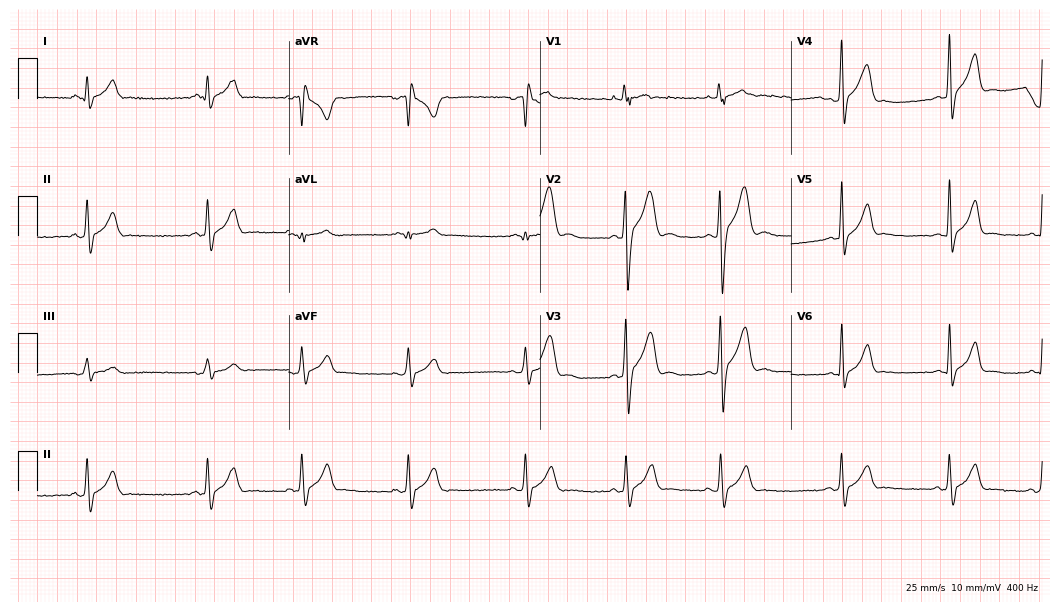
12-lead ECG from a man, 17 years old (10.2-second recording at 400 Hz). No first-degree AV block, right bundle branch block (RBBB), left bundle branch block (LBBB), sinus bradycardia, atrial fibrillation (AF) or sinus tachycardia recorded for this tracing. Findings outside these six are not listed.